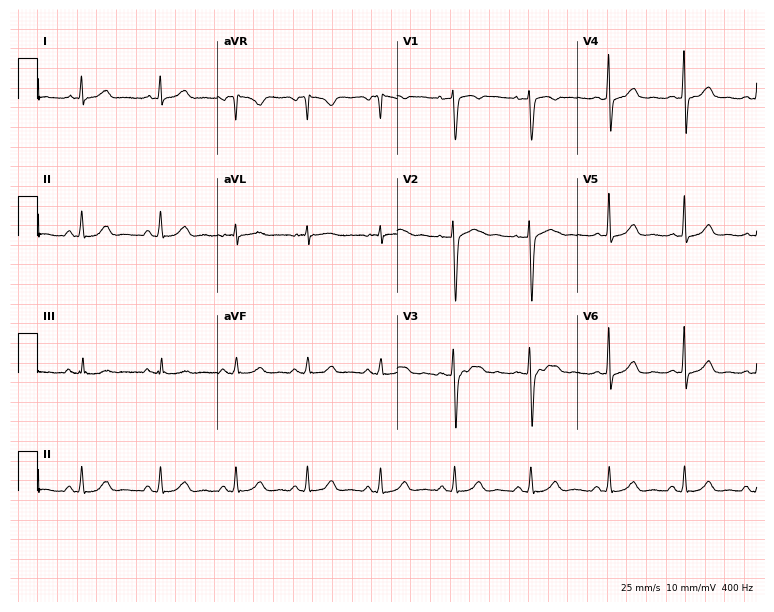
Resting 12-lead electrocardiogram. Patient: a female, 26 years old. Read as a normal ECG.